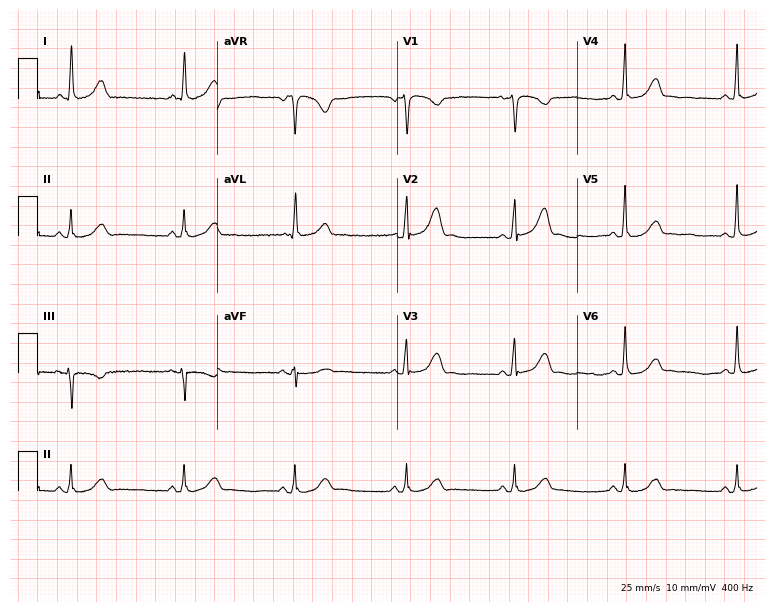
Standard 12-lead ECG recorded from a 47-year-old female patient. Read as a normal ECG.